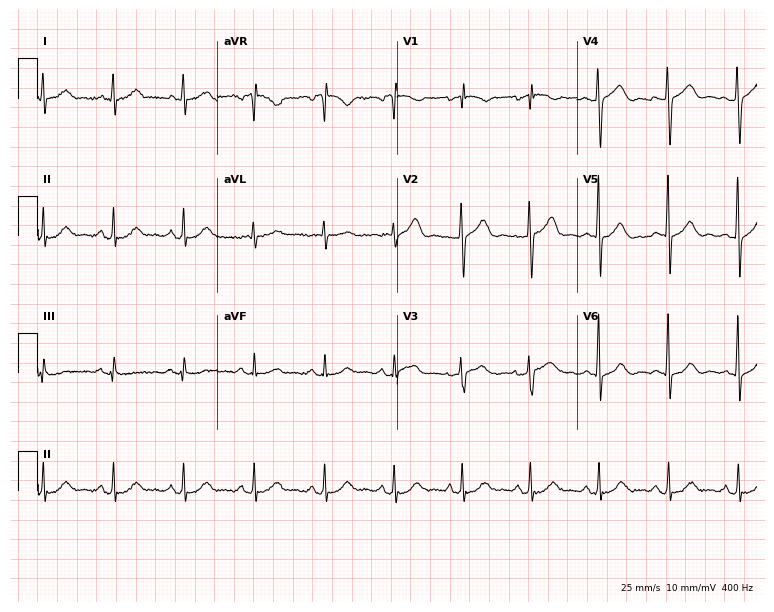
ECG (7.3-second recording at 400 Hz) — a woman, 48 years old. Labelled as a normal ECG.